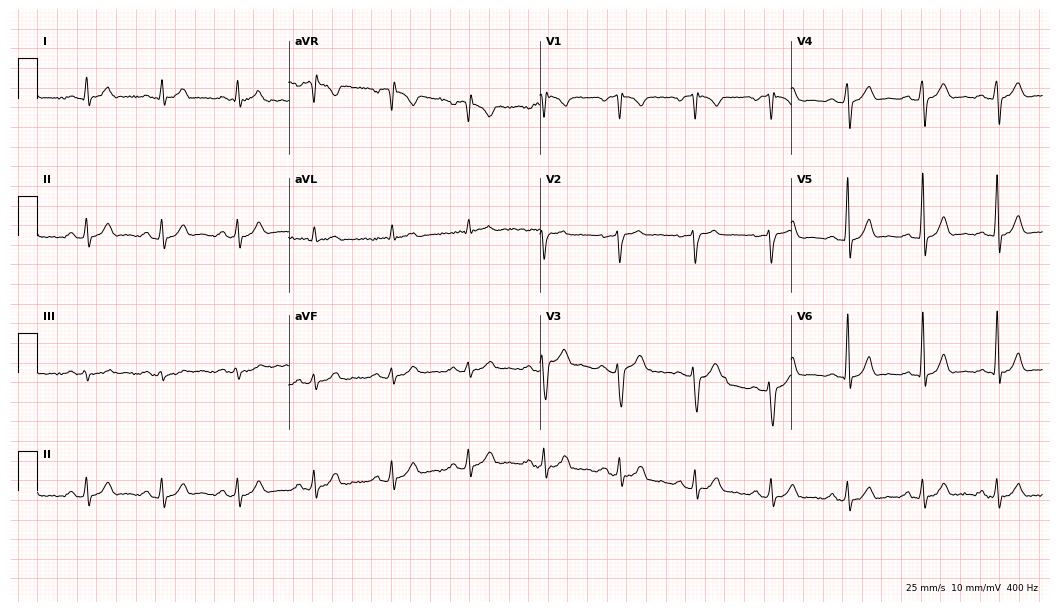
Resting 12-lead electrocardiogram (10.2-second recording at 400 Hz). Patient: a 60-year-old male. None of these six findings is recorded: first-degree AV block, right bundle branch block, left bundle branch block, sinus bradycardia, atrial fibrillation, sinus tachycardia. Findings outside these six are not listed.